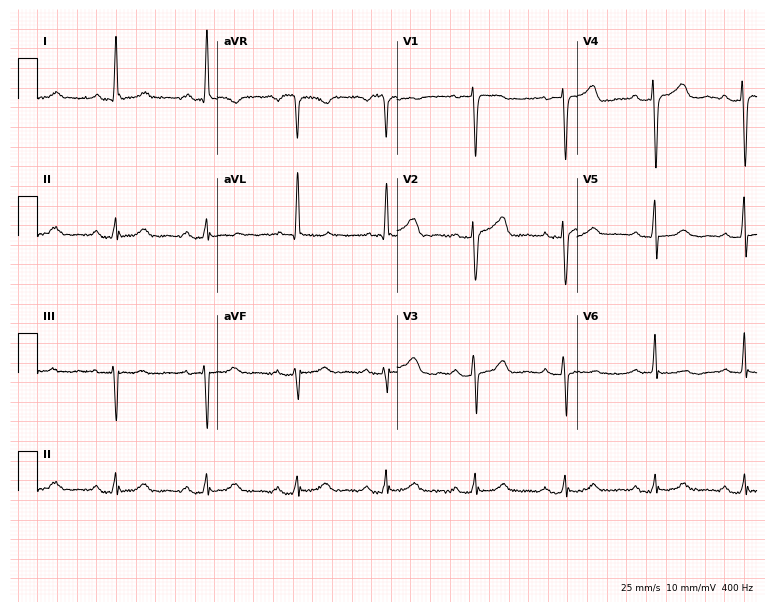
Electrocardiogram (7.3-second recording at 400 Hz), a 78-year-old female. Overall reading on record: normal ECG.